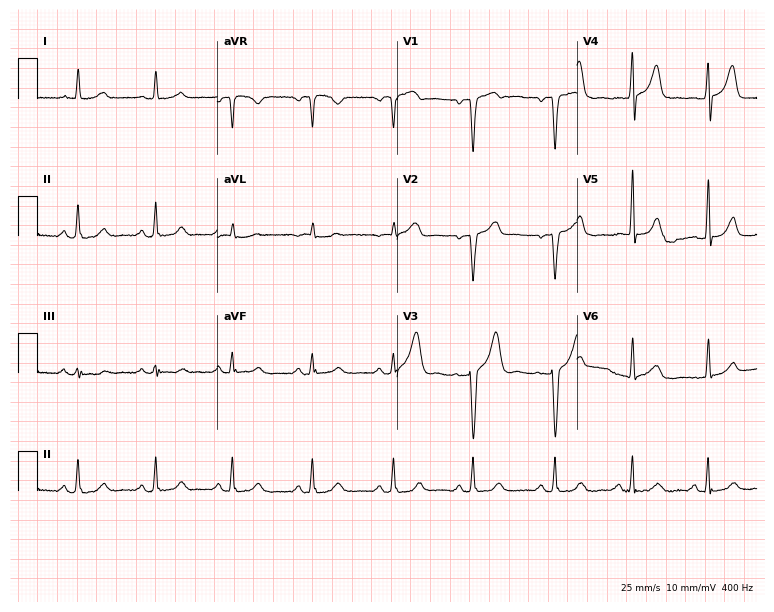
Resting 12-lead electrocardiogram. Patient: a 62-year-old man. Read as a normal ECG.